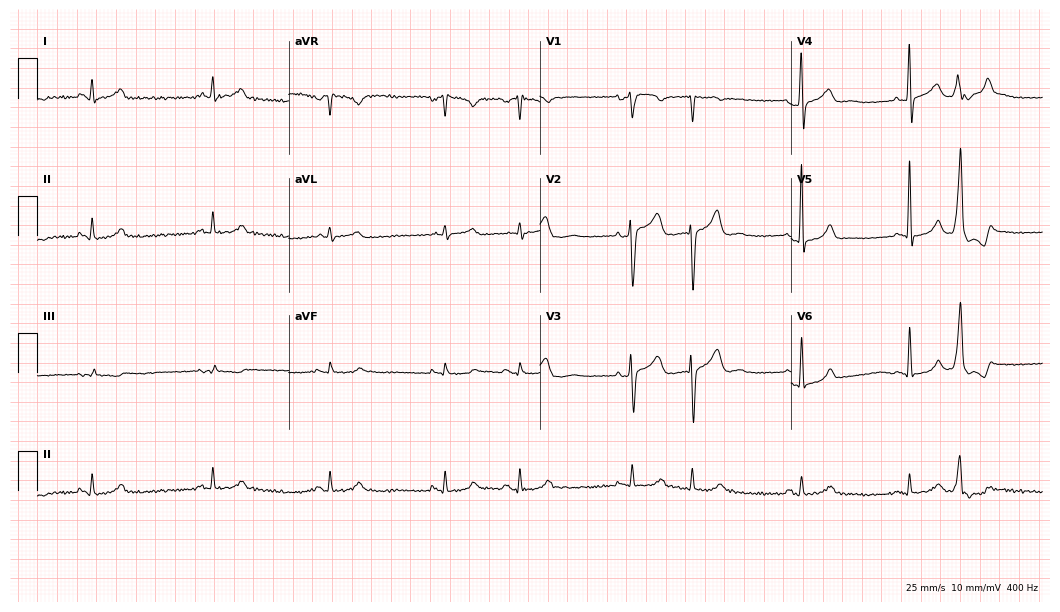
ECG — a male, 53 years old. Screened for six findings — first-degree AV block, right bundle branch block, left bundle branch block, sinus bradycardia, atrial fibrillation, sinus tachycardia — none is recorded. Other findings, if any, are not listed.